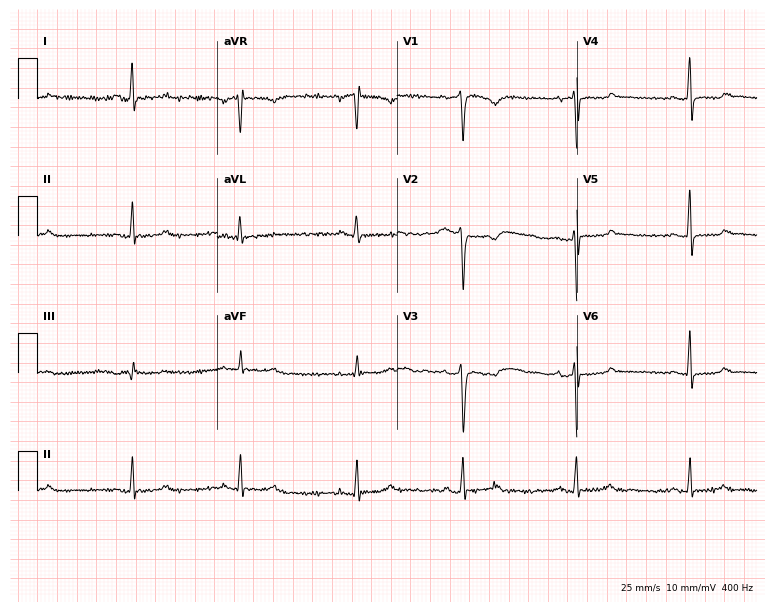
ECG (7.3-second recording at 400 Hz) — a female, 47 years old. Screened for six findings — first-degree AV block, right bundle branch block, left bundle branch block, sinus bradycardia, atrial fibrillation, sinus tachycardia — none is recorded.